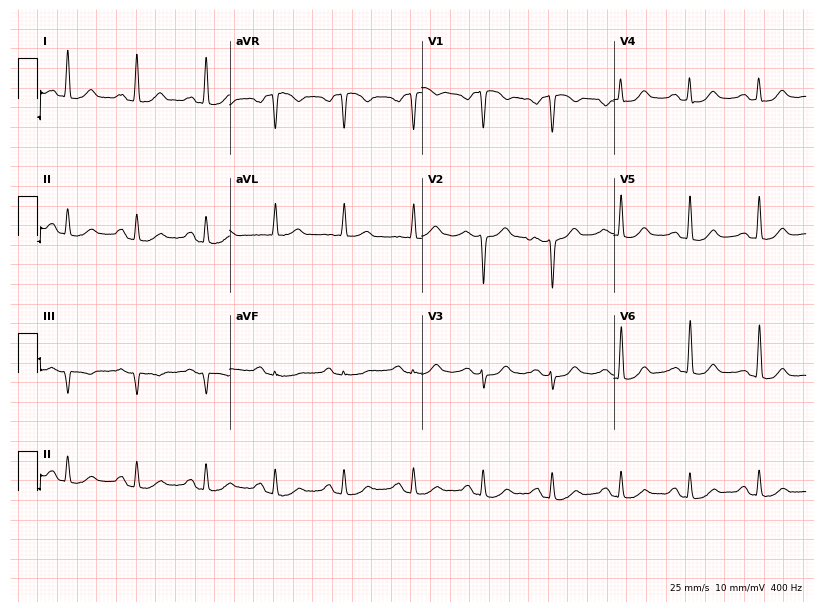
Electrocardiogram, a female, 40 years old. Of the six screened findings (first-degree AV block, right bundle branch block, left bundle branch block, sinus bradycardia, atrial fibrillation, sinus tachycardia), none is recorded. Other findings, if any, are not listed.